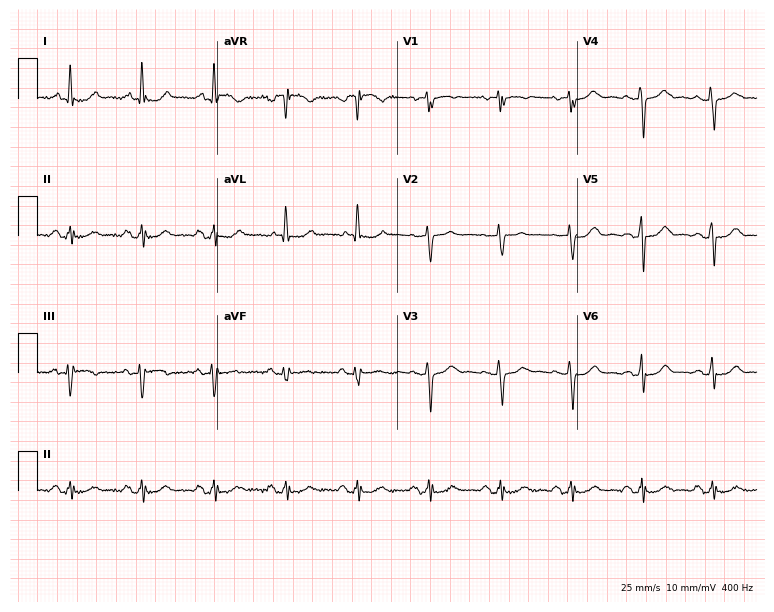
12-lead ECG from a woman, 62 years old. Screened for six findings — first-degree AV block, right bundle branch block (RBBB), left bundle branch block (LBBB), sinus bradycardia, atrial fibrillation (AF), sinus tachycardia — none is recorded.